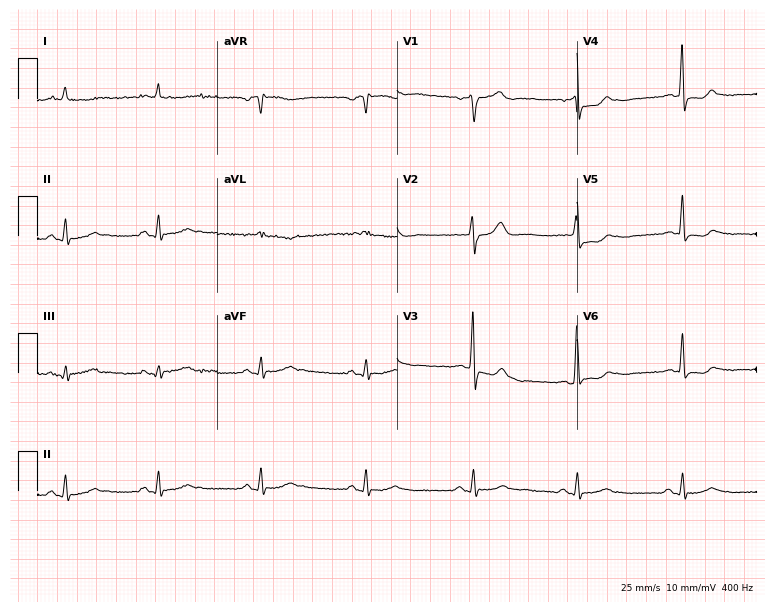
Resting 12-lead electrocardiogram (7.3-second recording at 400 Hz). Patient: a male, 61 years old. None of these six findings is recorded: first-degree AV block, right bundle branch block (RBBB), left bundle branch block (LBBB), sinus bradycardia, atrial fibrillation (AF), sinus tachycardia. Other findings, if any, are not listed.